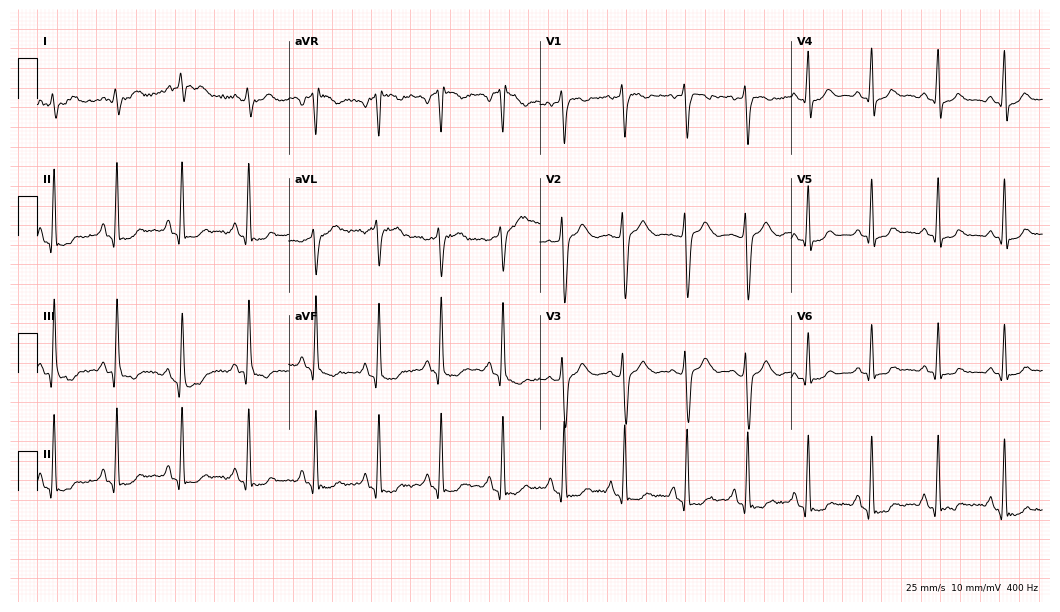
Electrocardiogram (10.2-second recording at 400 Hz), a woman, 17 years old. Of the six screened findings (first-degree AV block, right bundle branch block, left bundle branch block, sinus bradycardia, atrial fibrillation, sinus tachycardia), none is recorded. Other findings, if any, are not listed.